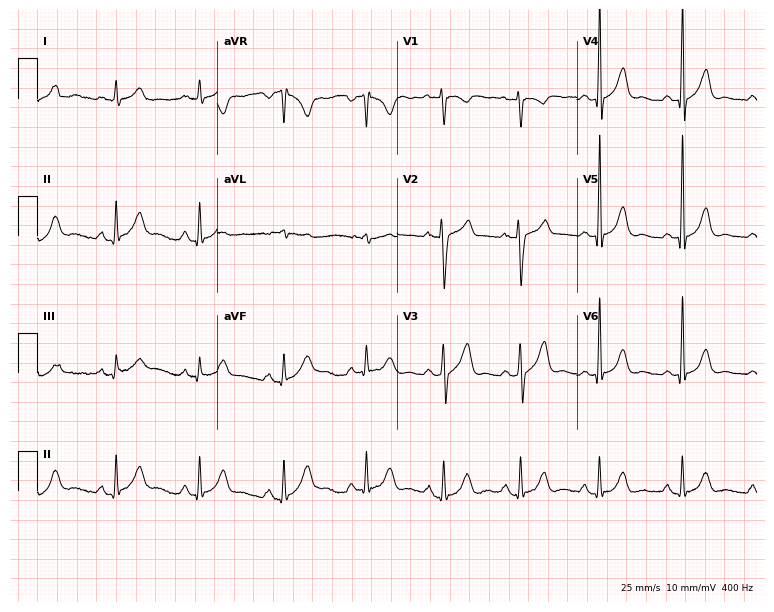
Standard 12-lead ECG recorded from a man, 49 years old. None of these six findings is recorded: first-degree AV block, right bundle branch block, left bundle branch block, sinus bradycardia, atrial fibrillation, sinus tachycardia. Other findings, if any, are not listed.